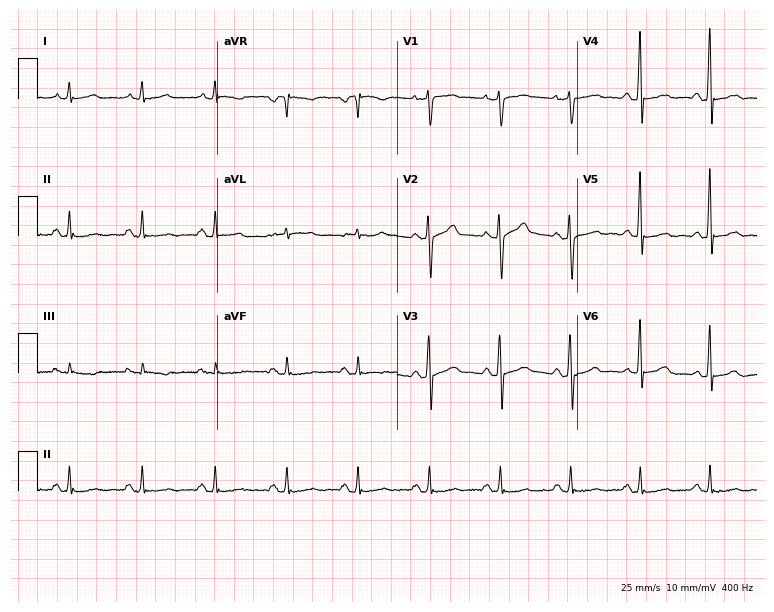
Resting 12-lead electrocardiogram (7.3-second recording at 400 Hz). Patient: a 65-year-old male. None of these six findings is recorded: first-degree AV block, right bundle branch block (RBBB), left bundle branch block (LBBB), sinus bradycardia, atrial fibrillation (AF), sinus tachycardia.